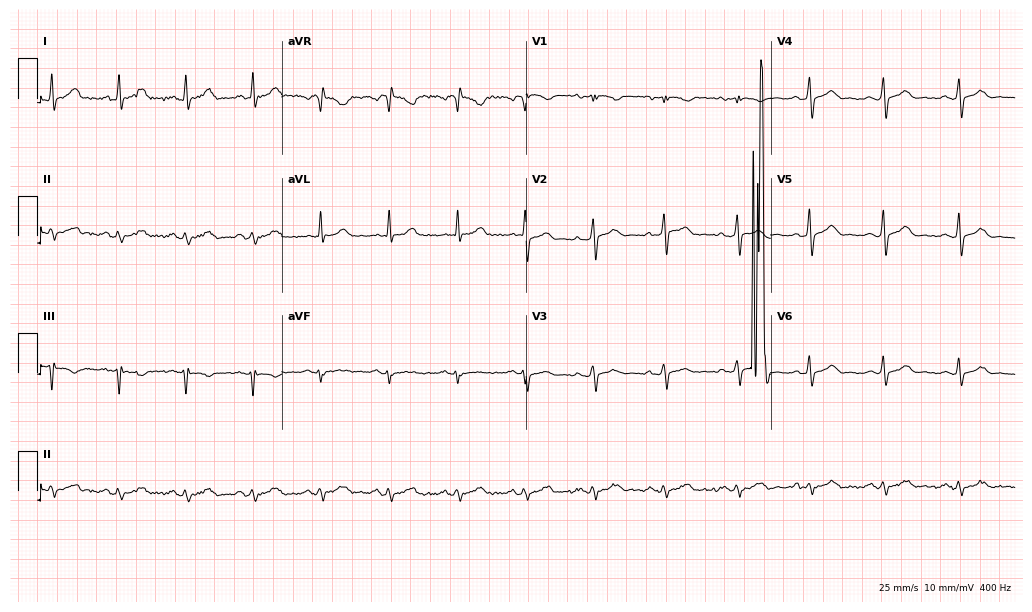
ECG (10-second recording at 400 Hz) — a male patient, 52 years old. Screened for six findings — first-degree AV block, right bundle branch block (RBBB), left bundle branch block (LBBB), sinus bradycardia, atrial fibrillation (AF), sinus tachycardia — none is recorded. Only these six findings were labelled.